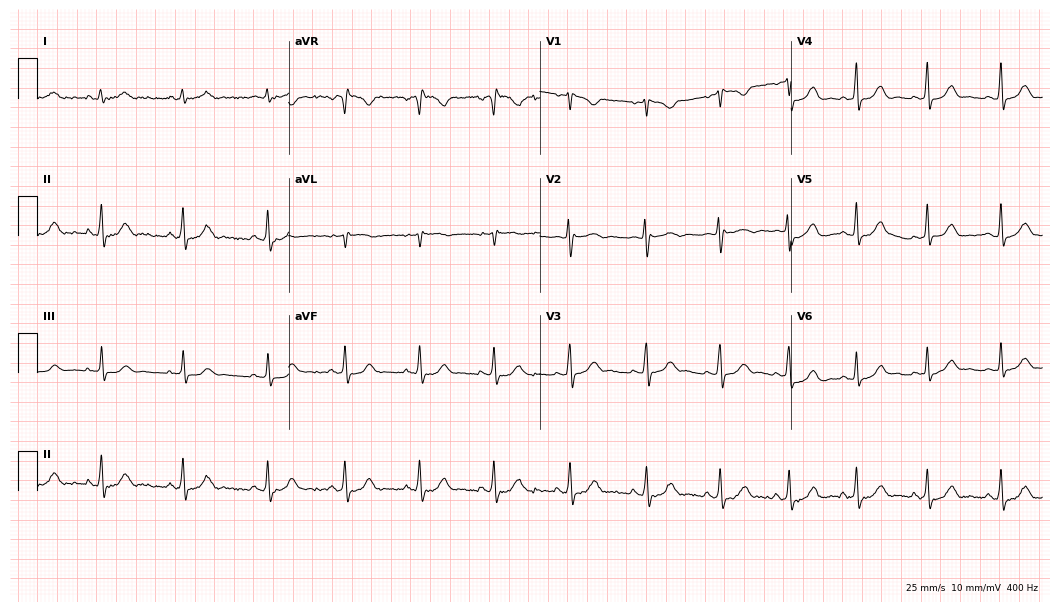
Resting 12-lead electrocardiogram (10.2-second recording at 400 Hz). Patient: a female, 26 years old. Read as a normal ECG.